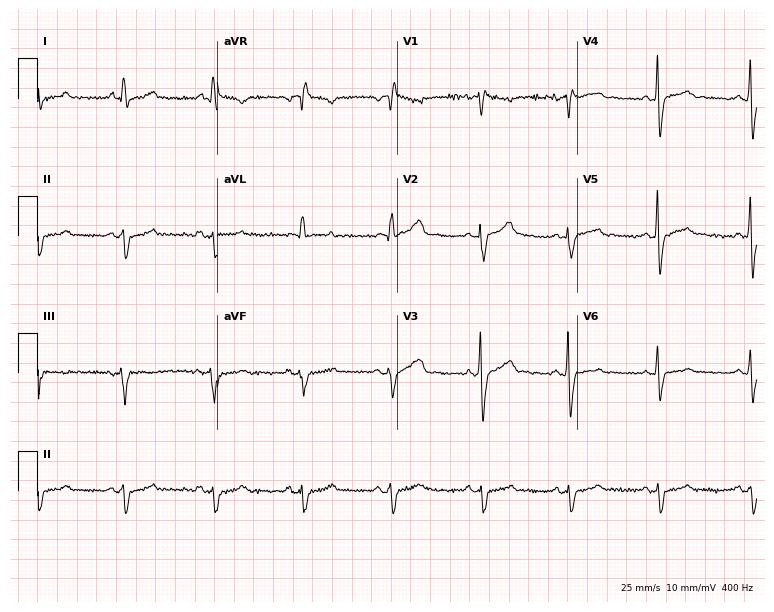
12-lead ECG from a 54-year-old male patient. Screened for six findings — first-degree AV block, right bundle branch block, left bundle branch block, sinus bradycardia, atrial fibrillation, sinus tachycardia — none is recorded. Findings outside these six are not listed.